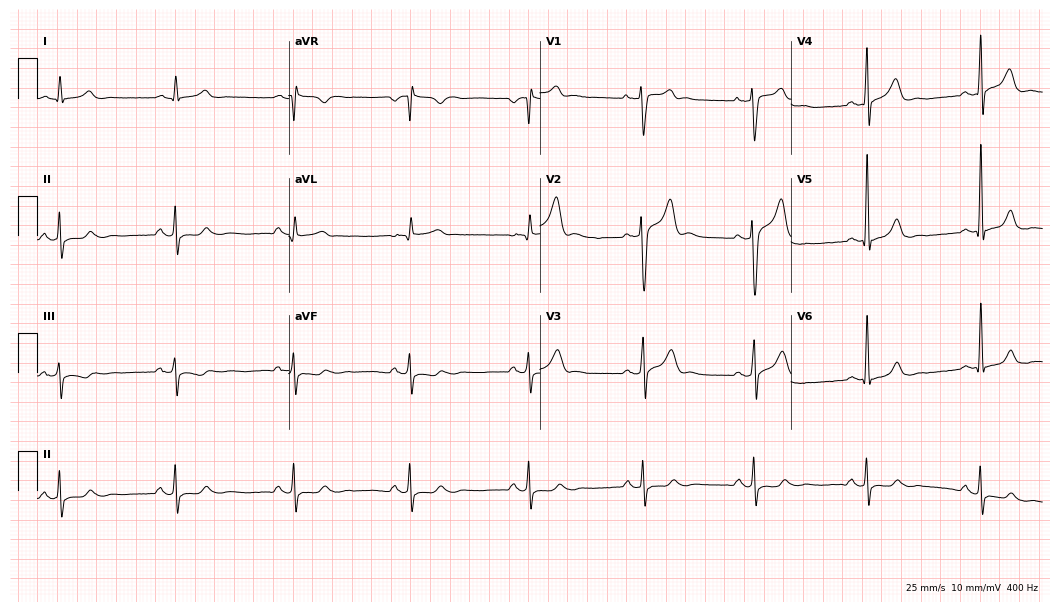
Standard 12-lead ECG recorded from a man, 41 years old (10.2-second recording at 400 Hz). Read as a normal ECG.